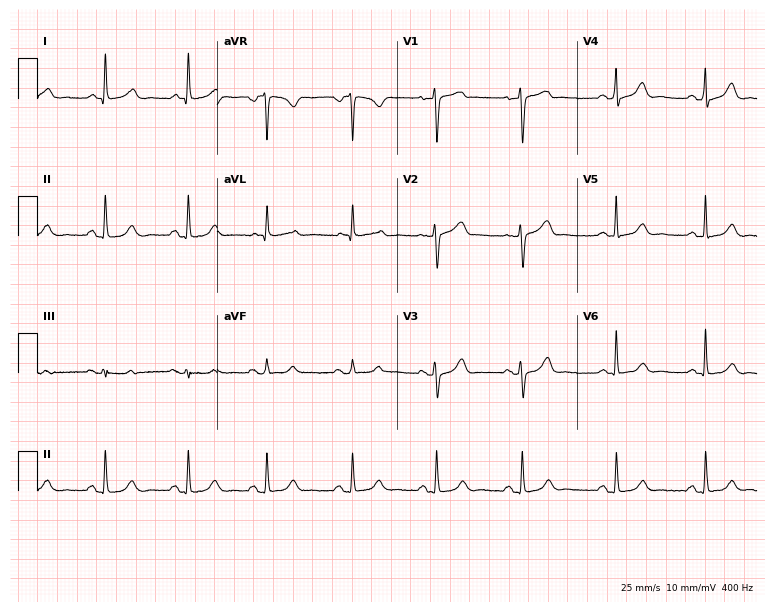
Resting 12-lead electrocardiogram (7.3-second recording at 400 Hz). Patient: a female, 55 years old. Read as a normal ECG.